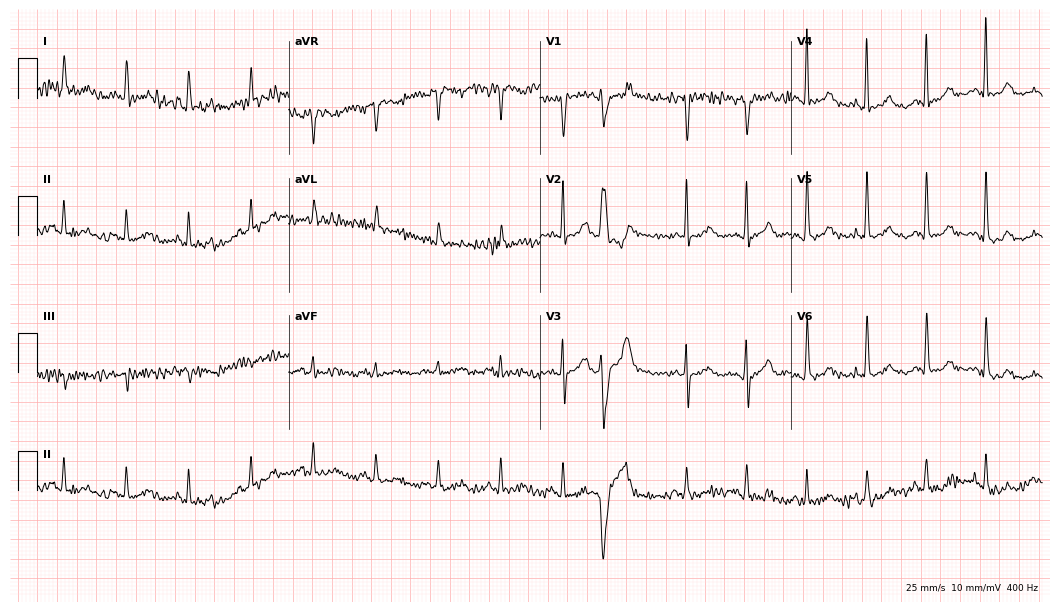
12-lead ECG (10.2-second recording at 400 Hz) from a 67-year-old male. Findings include atrial fibrillation.